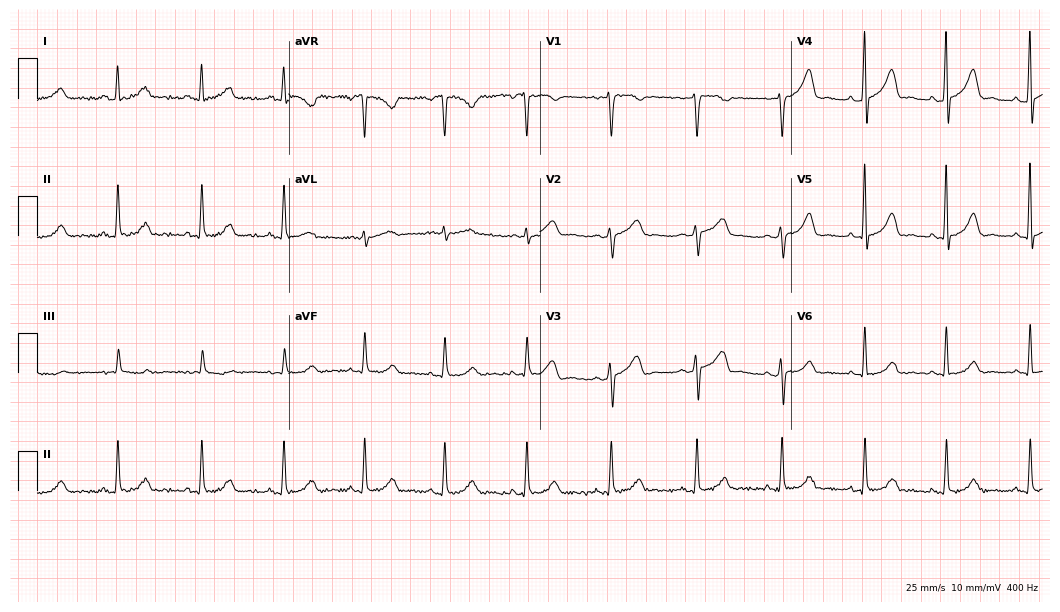
12-lead ECG from a 49-year-old woman. Screened for six findings — first-degree AV block, right bundle branch block, left bundle branch block, sinus bradycardia, atrial fibrillation, sinus tachycardia — none is recorded. Other findings, if any, are not listed.